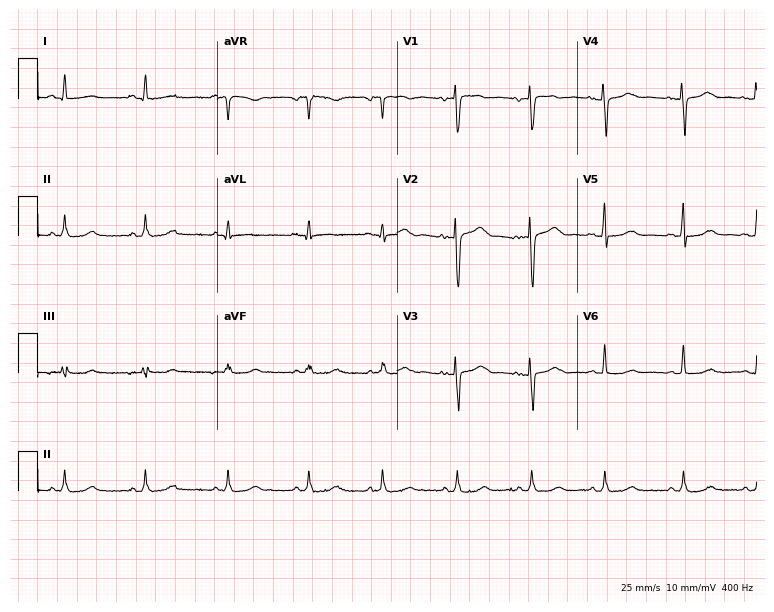
Resting 12-lead electrocardiogram. Patient: a female, 57 years old. None of these six findings is recorded: first-degree AV block, right bundle branch block, left bundle branch block, sinus bradycardia, atrial fibrillation, sinus tachycardia. Other findings, if any, are not listed.